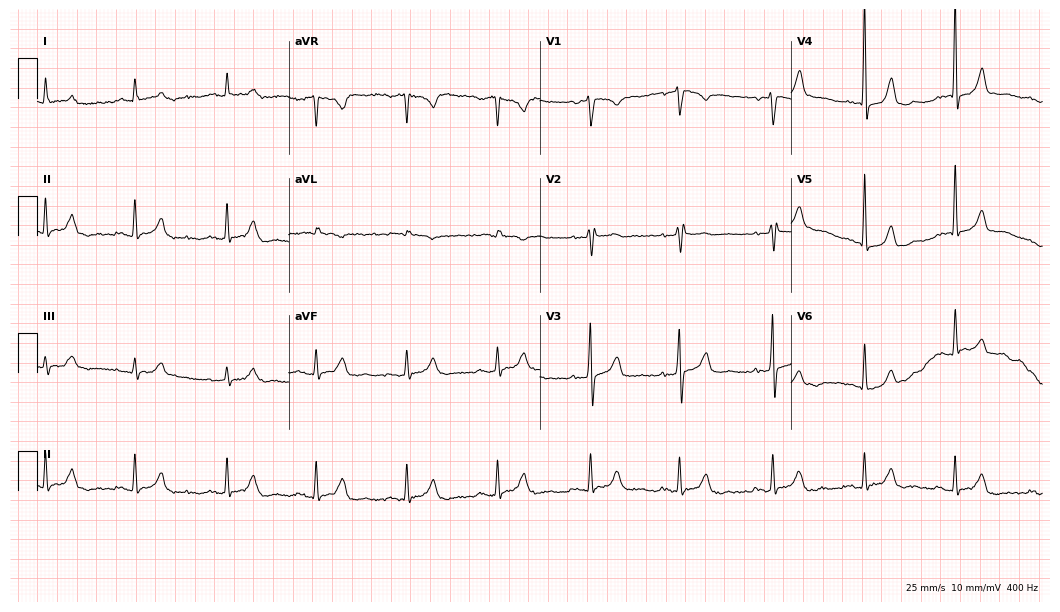
12-lead ECG from a 64-year-old male (10.2-second recording at 400 Hz). Recorded interpretation: within normal limits.